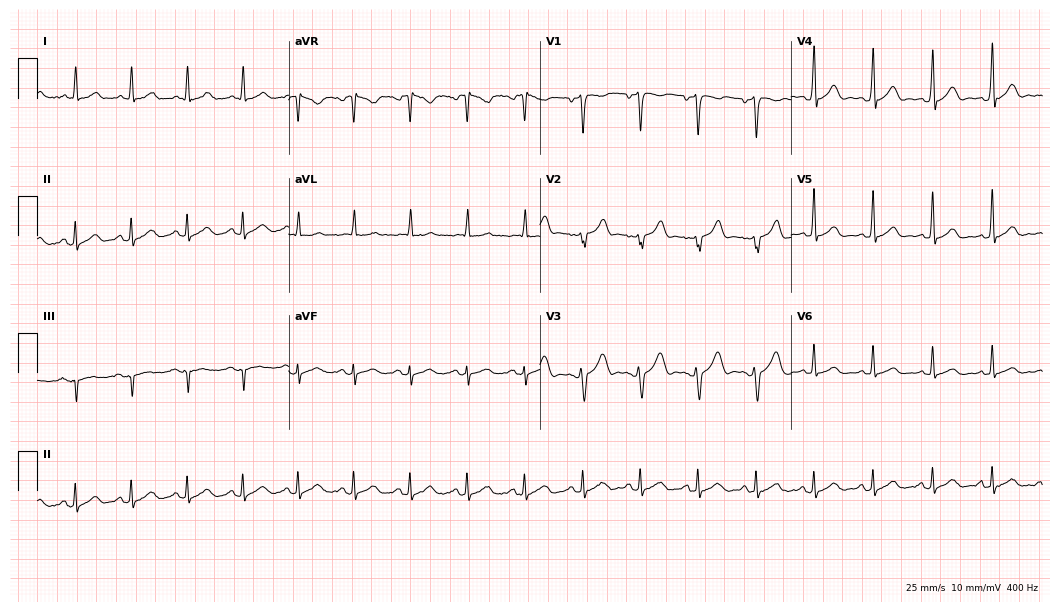
Resting 12-lead electrocardiogram (10.2-second recording at 400 Hz). Patient: a male, 29 years old. None of these six findings is recorded: first-degree AV block, right bundle branch block (RBBB), left bundle branch block (LBBB), sinus bradycardia, atrial fibrillation (AF), sinus tachycardia. Other findings, if any, are not listed.